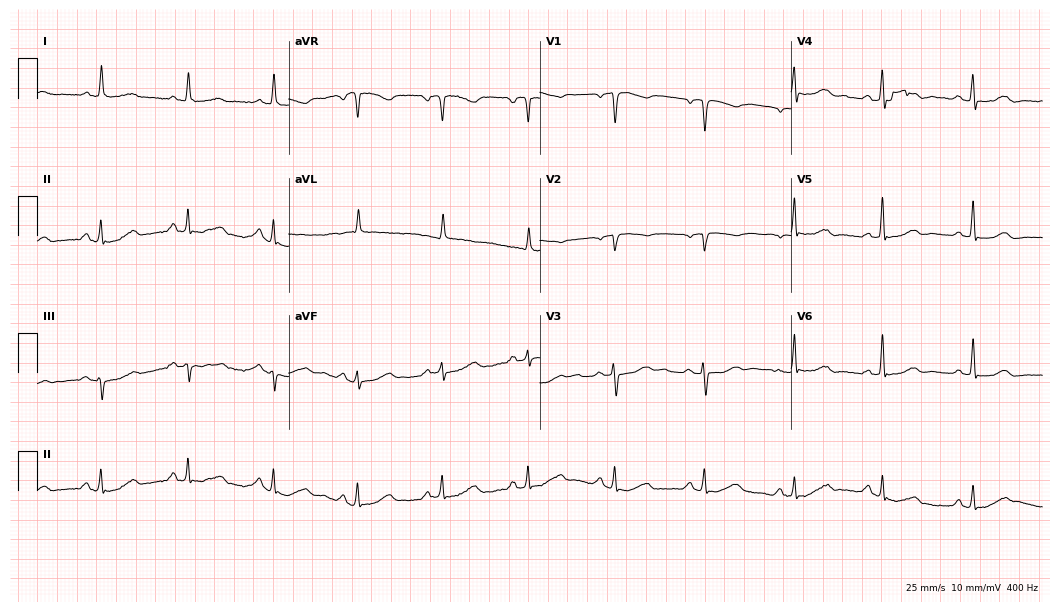
Electrocardiogram (10.2-second recording at 400 Hz), a 65-year-old female patient. Overall reading on record: normal ECG.